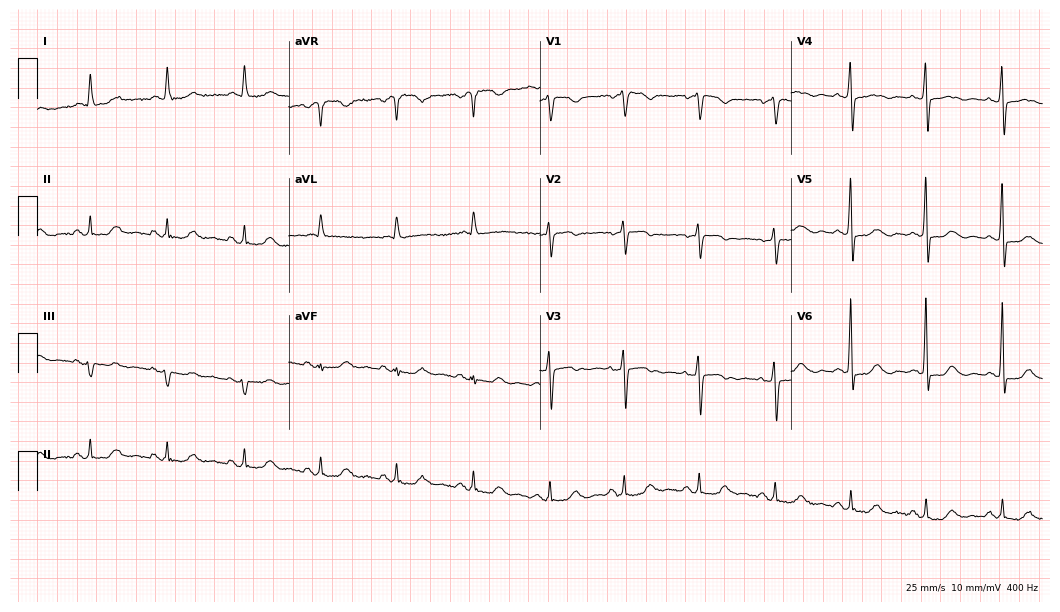
Electrocardiogram (10.2-second recording at 400 Hz), a female patient, 68 years old. Overall reading on record: normal ECG.